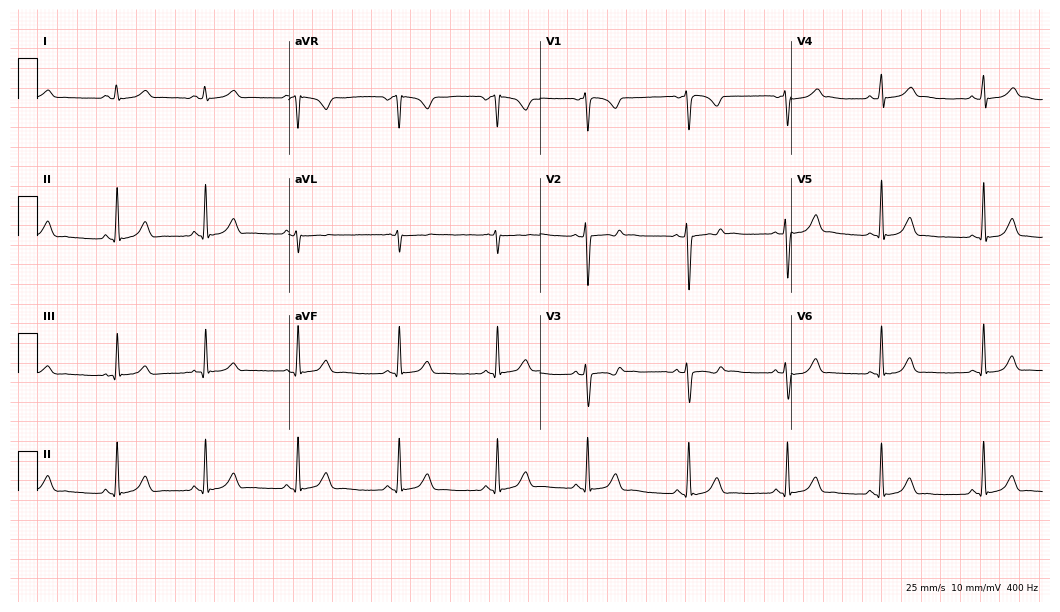
Resting 12-lead electrocardiogram (10.2-second recording at 400 Hz). Patient: a female, 26 years old. None of these six findings is recorded: first-degree AV block, right bundle branch block, left bundle branch block, sinus bradycardia, atrial fibrillation, sinus tachycardia.